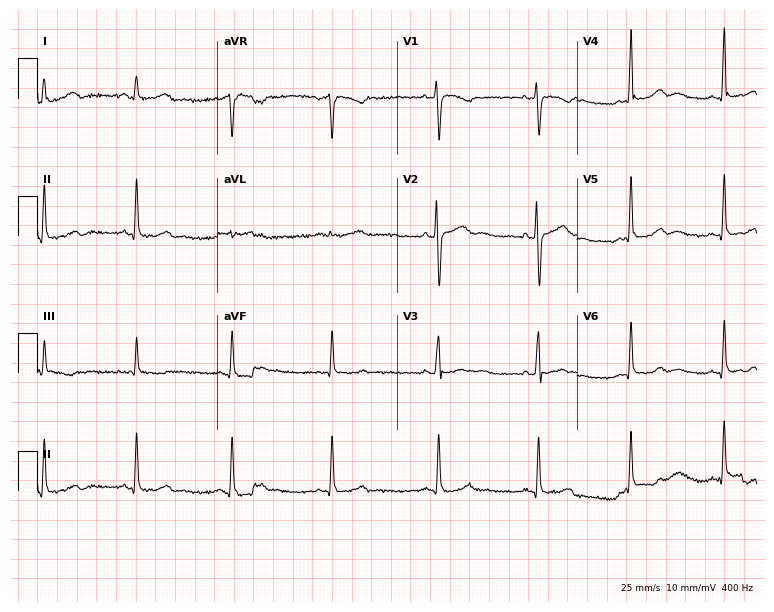
Electrocardiogram (7.3-second recording at 400 Hz), a 39-year-old female. Of the six screened findings (first-degree AV block, right bundle branch block (RBBB), left bundle branch block (LBBB), sinus bradycardia, atrial fibrillation (AF), sinus tachycardia), none is recorded.